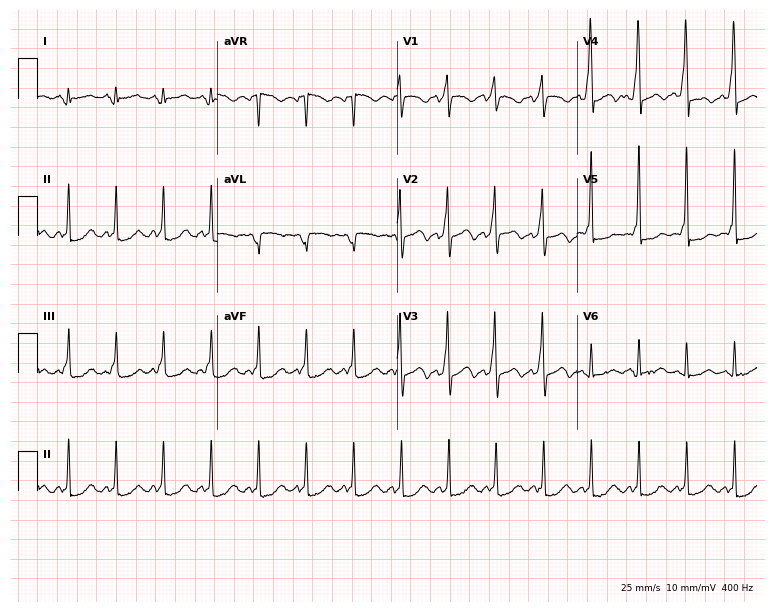
Resting 12-lead electrocardiogram. Patient: a female, 44 years old. None of these six findings is recorded: first-degree AV block, right bundle branch block, left bundle branch block, sinus bradycardia, atrial fibrillation, sinus tachycardia. Findings outside these six are not listed.